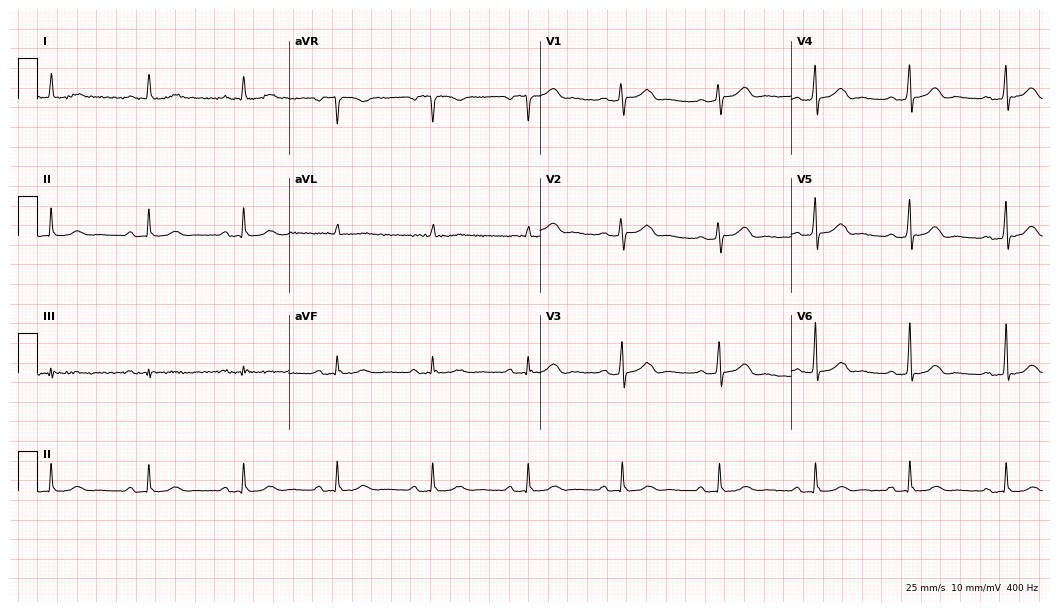
Electrocardiogram, a female patient, 72 years old. Of the six screened findings (first-degree AV block, right bundle branch block, left bundle branch block, sinus bradycardia, atrial fibrillation, sinus tachycardia), none is recorded. Other findings, if any, are not listed.